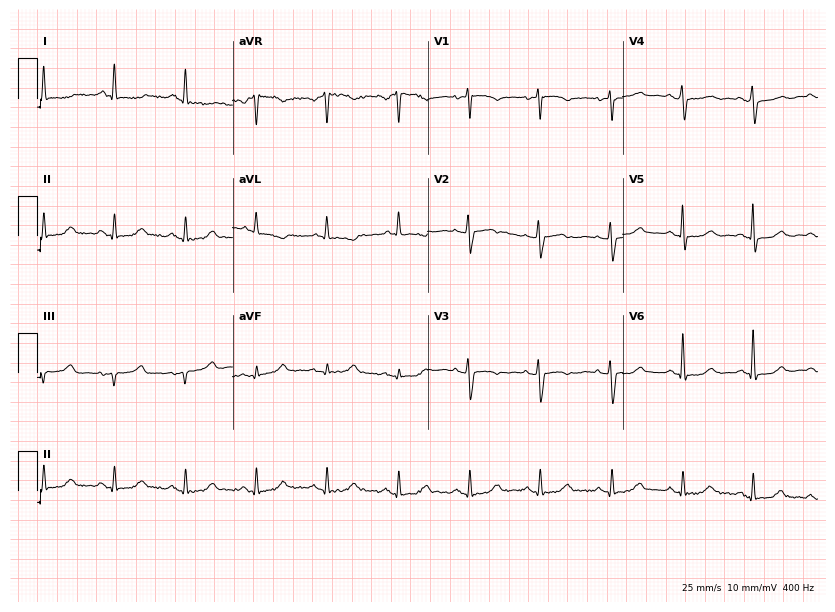
Standard 12-lead ECG recorded from a 57-year-old female (8-second recording at 400 Hz). None of these six findings is recorded: first-degree AV block, right bundle branch block, left bundle branch block, sinus bradycardia, atrial fibrillation, sinus tachycardia.